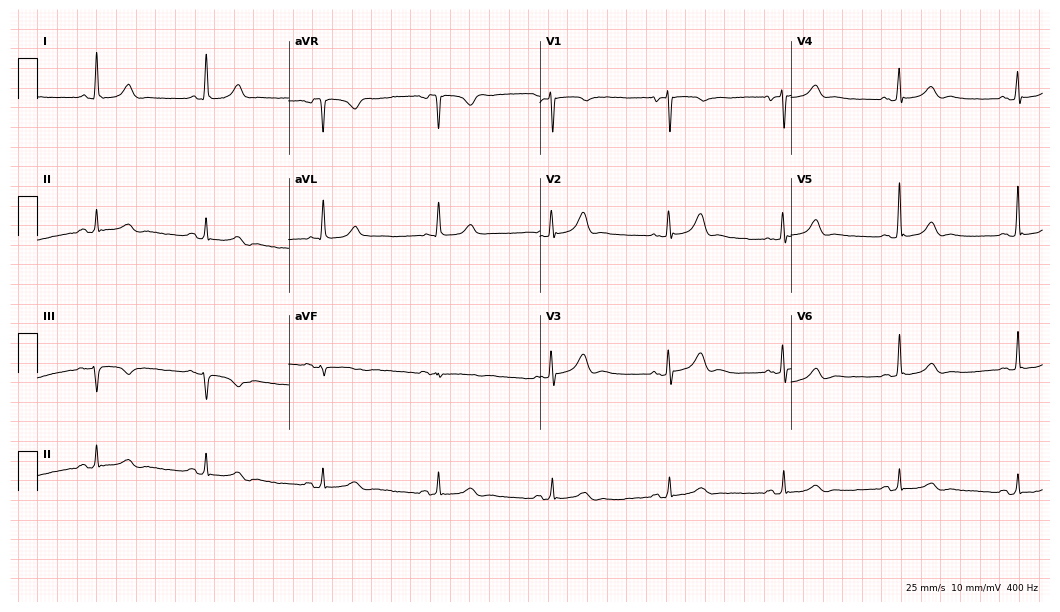
Standard 12-lead ECG recorded from a 65-year-old woman (10.2-second recording at 400 Hz). Read as a normal ECG.